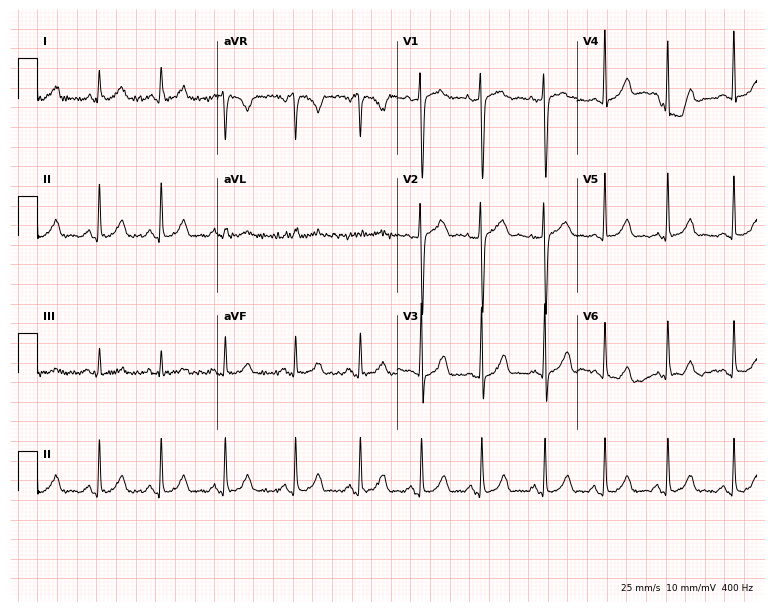
Resting 12-lead electrocardiogram. Patient: a woman, 21 years old. None of these six findings is recorded: first-degree AV block, right bundle branch block, left bundle branch block, sinus bradycardia, atrial fibrillation, sinus tachycardia. Only these six findings were labelled.